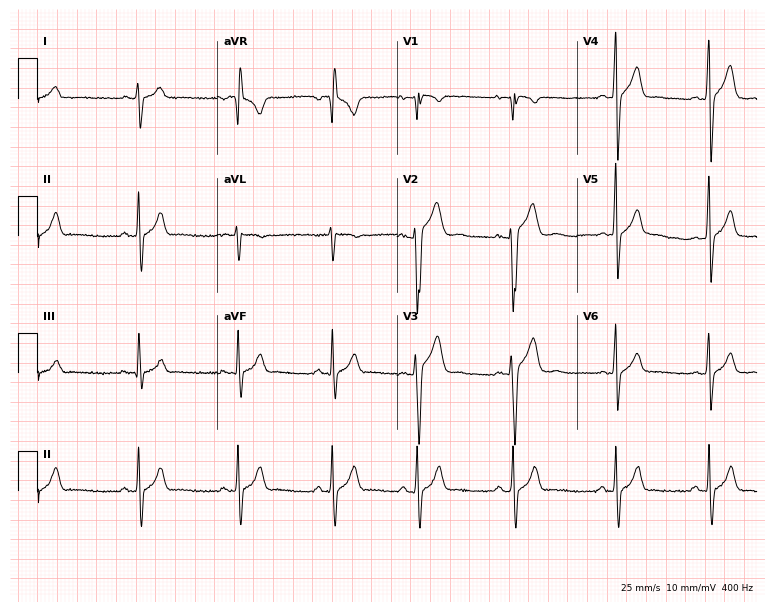
Electrocardiogram (7.3-second recording at 400 Hz), a 21-year-old male. Of the six screened findings (first-degree AV block, right bundle branch block, left bundle branch block, sinus bradycardia, atrial fibrillation, sinus tachycardia), none is recorded. Only these six findings were labelled.